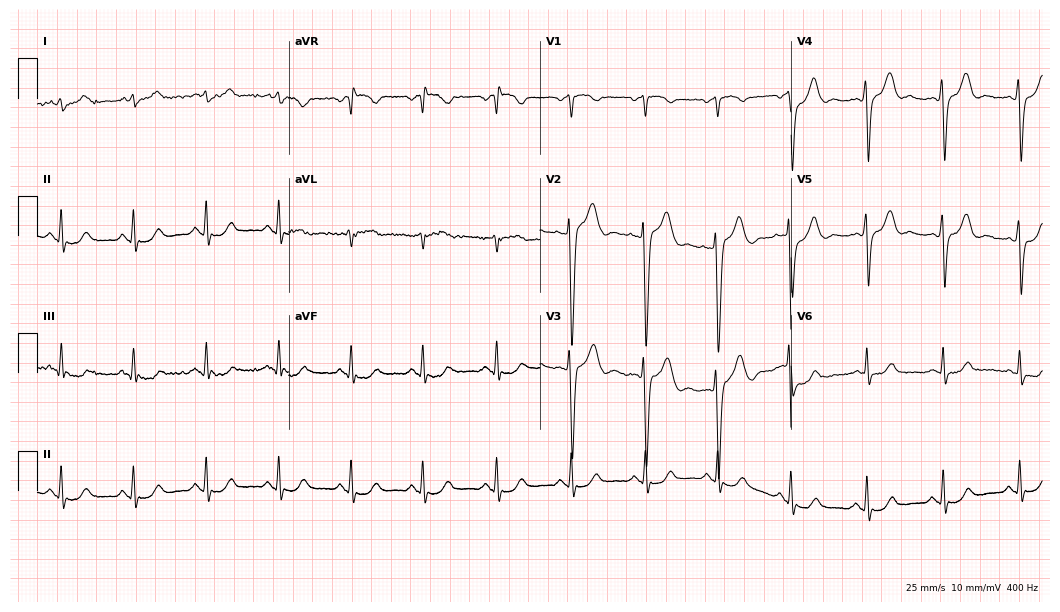
ECG — a male patient, 43 years old. Screened for six findings — first-degree AV block, right bundle branch block, left bundle branch block, sinus bradycardia, atrial fibrillation, sinus tachycardia — none is recorded.